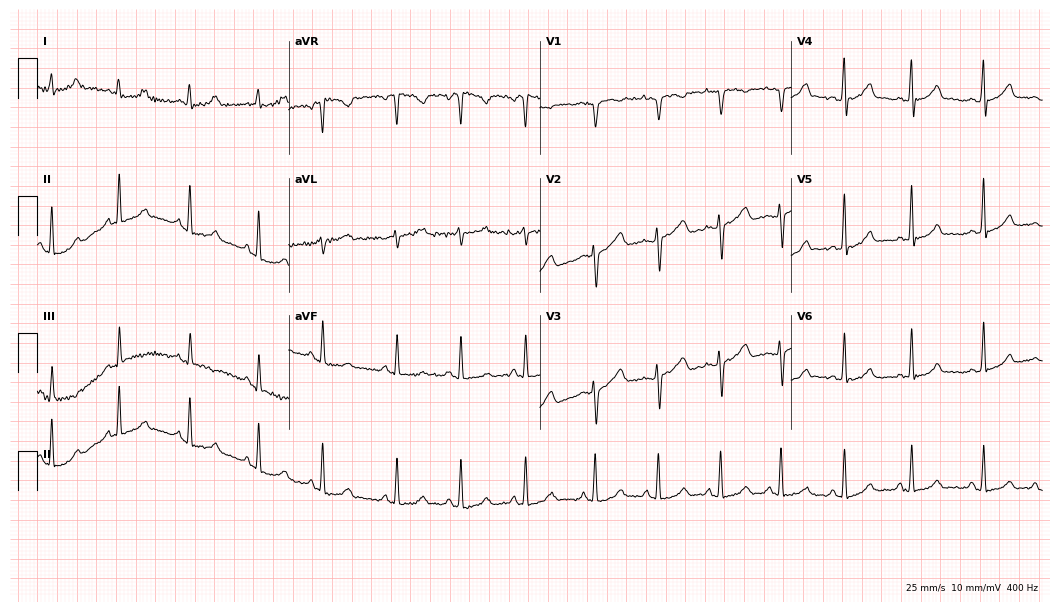
12-lead ECG from a 31-year-old female patient (10.2-second recording at 400 Hz). Recorded interpretation: within normal limits.